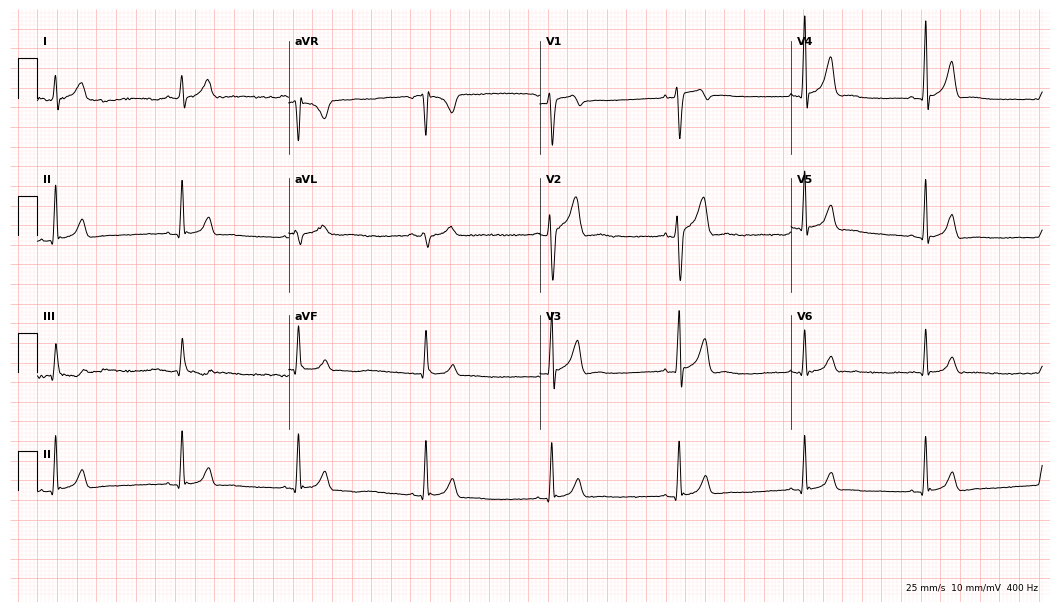
Electrocardiogram (10.2-second recording at 400 Hz), a male patient, 20 years old. Overall reading on record: normal ECG.